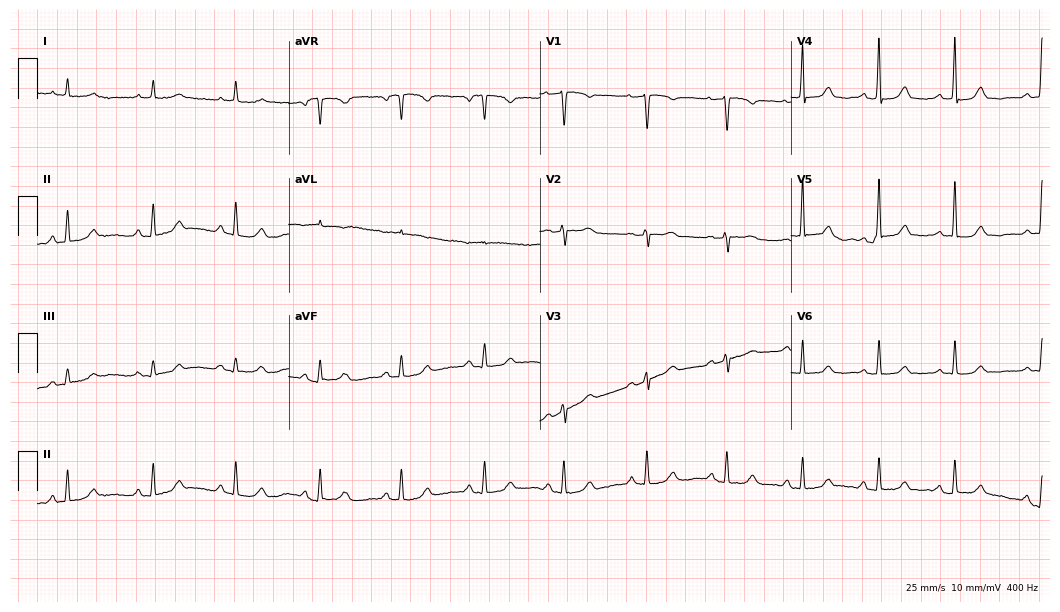
Standard 12-lead ECG recorded from a 75-year-old female (10.2-second recording at 400 Hz). Read as a normal ECG.